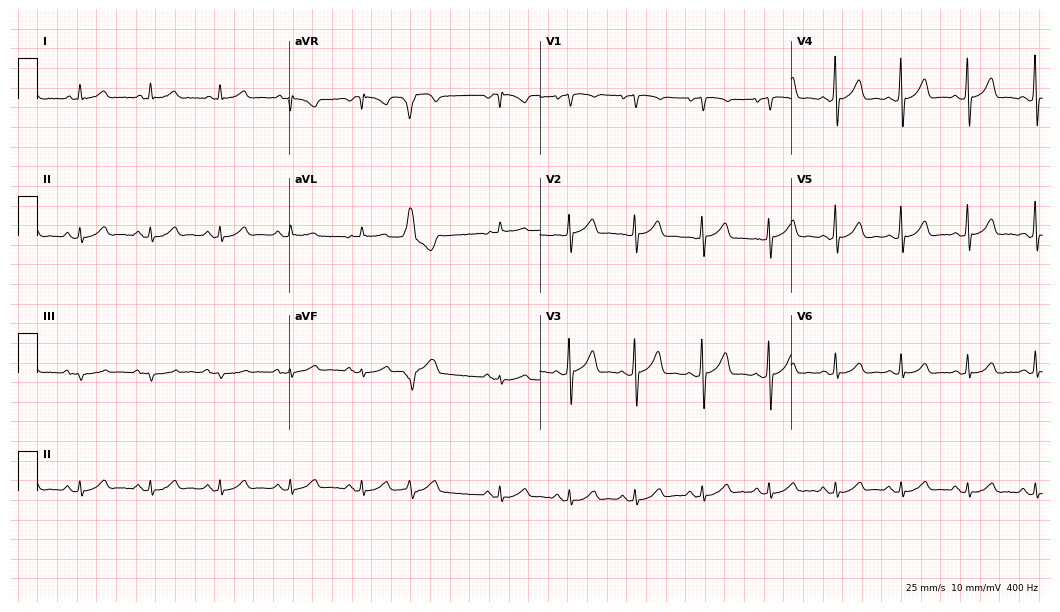
ECG (10.2-second recording at 400 Hz) — a man, 72 years old. Labelled as a normal ECG.